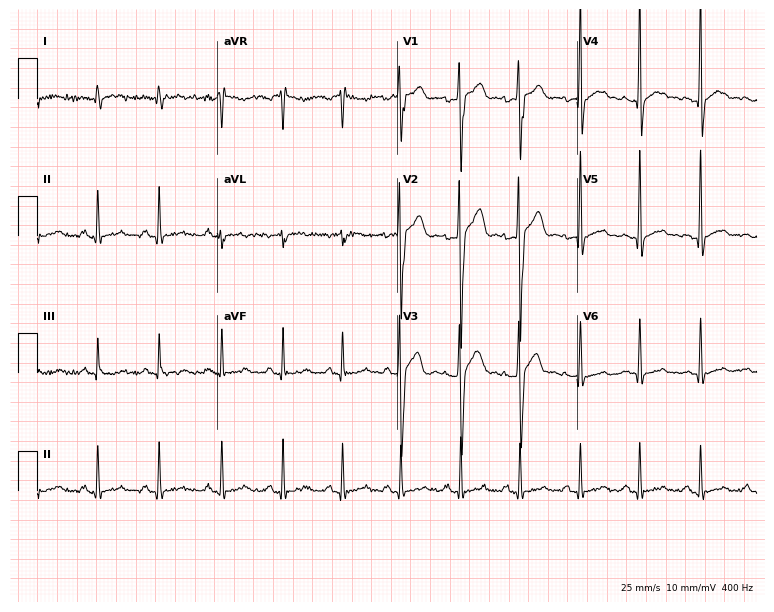
ECG (7.3-second recording at 400 Hz) — a 19-year-old man. Screened for six findings — first-degree AV block, right bundle branch block (RBBB), left bundle branch block (LBBB), sinus bradycardia, atrial fibrillation (AF), sinus tachycardia — none is recorded.